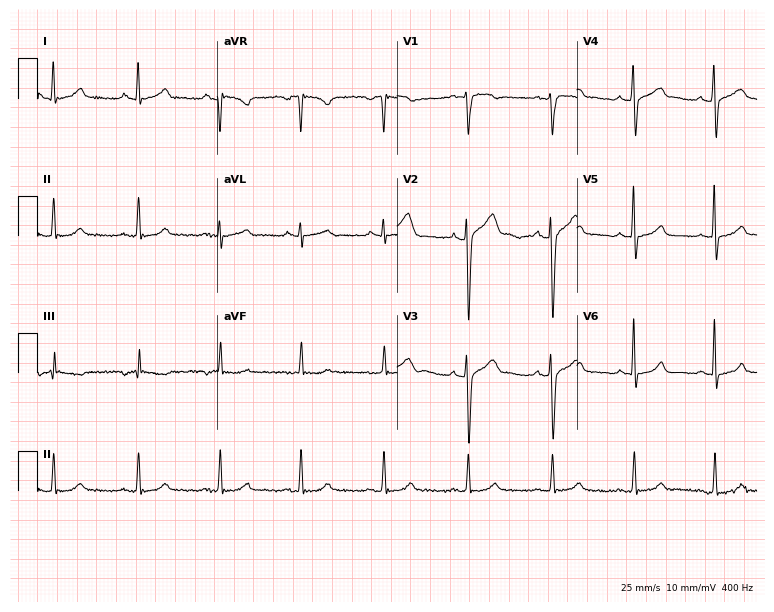
12-lead ECG from a man, 40 years old. Recorded interpretation: within normal limits.